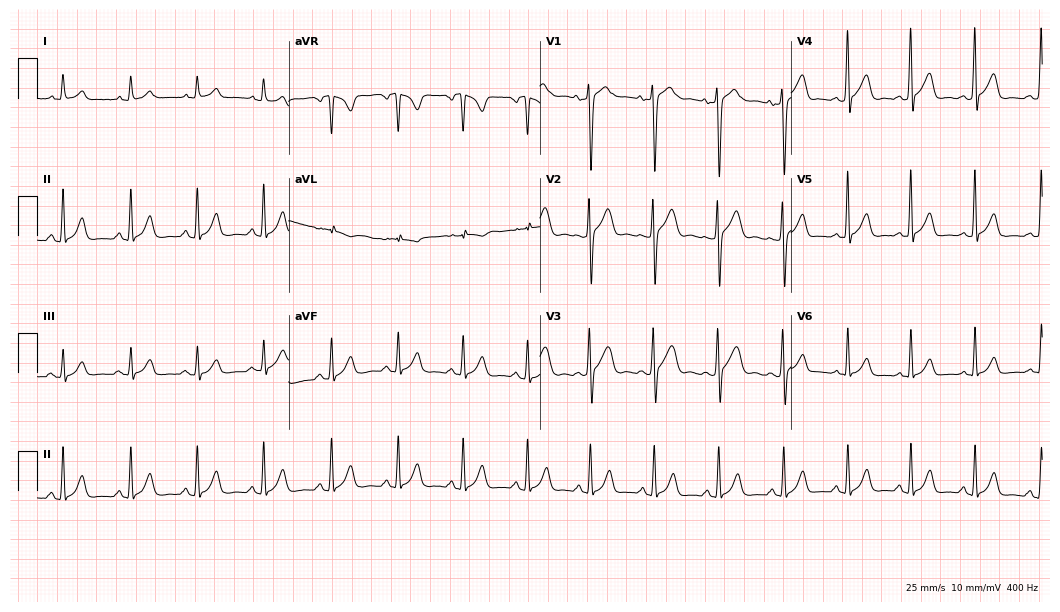
12-lead ECG from a 25-year-old male patient (10.2-second recording at 400 Hz). Recorded interpretation: within normal limits.